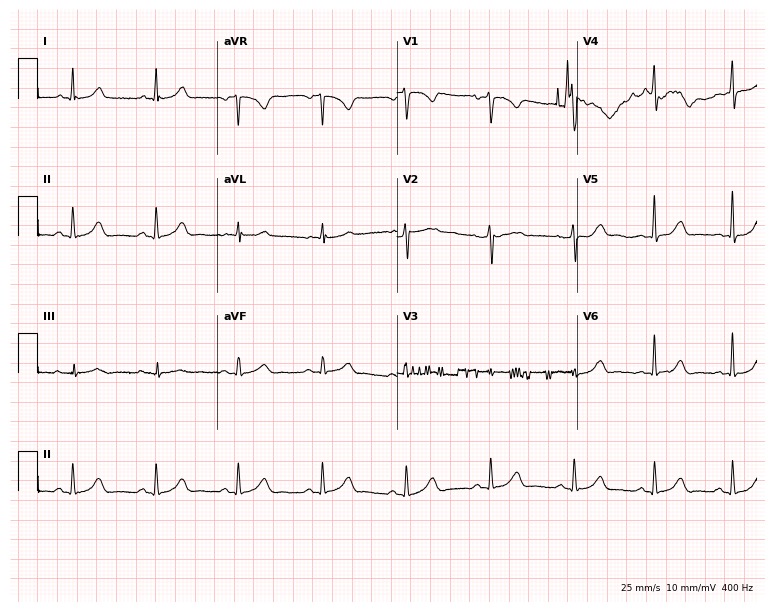
Electrocardiogram, a 28-year-old woman. Overall reading on record: normal ECG.